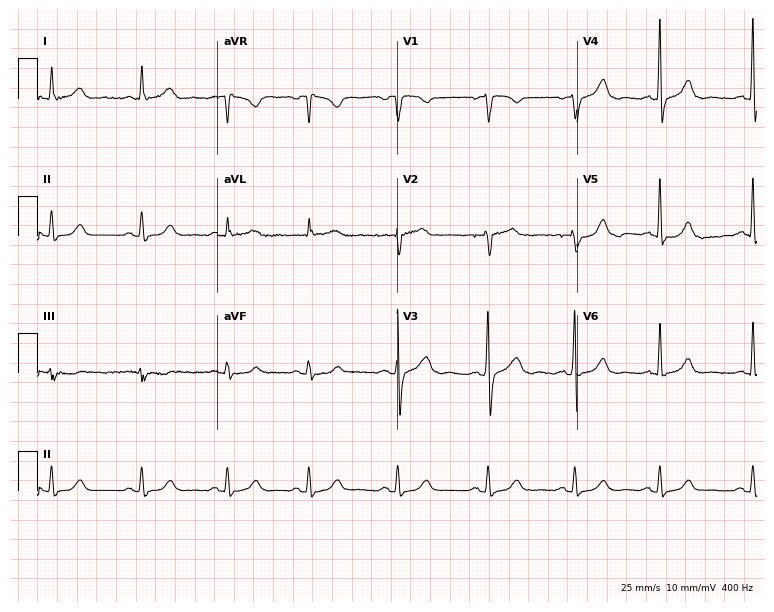
12-lead ECG (7.3-second recording at 400 Hz) from a 63-year-old woman. Labelled as a normal ECG.